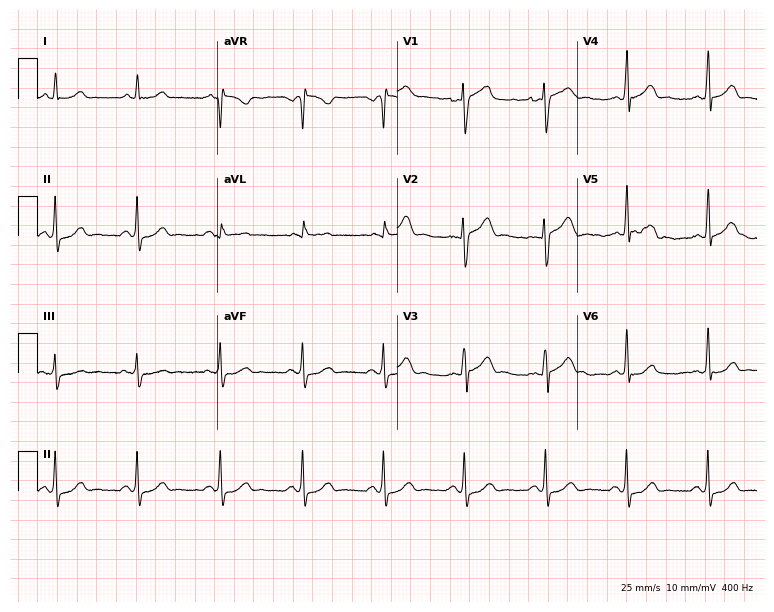
Resting 12-lead electrocardiogram (7.3-second recording at 400 Hz). Patient: a 31-year-old male. None of these six findings is recorded: first-degree AV block, right bundle branch block, left bundle branch block, sinus bradycardia, atrial fibrillation, sinus tachycardia. Other findings, if any, are not listed.